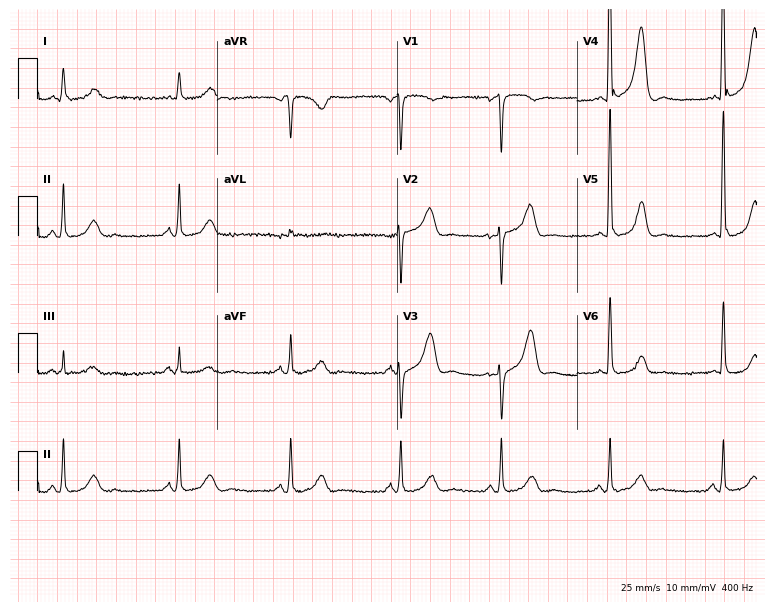
Electrocardiogram, a male, 82 years old. Of the six screened findings (first-degree AV block, right bundle branch block, left bundle branch block, sinus bradycardia, atrial fibrillation, sinus tachycardia), none is recorded. Findings outside these six are not listed.